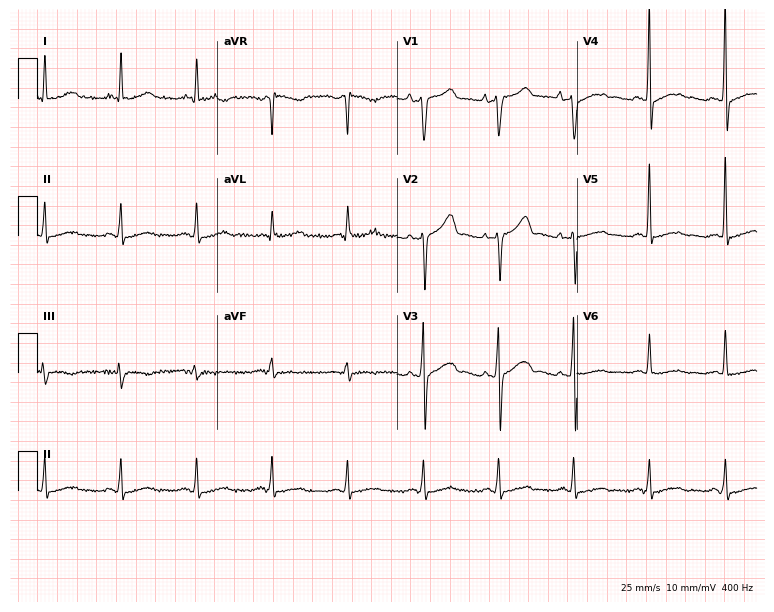
Resting 12-lead electrocardiogram. Patient: a man, 61 years old. Read as a normal ECG.